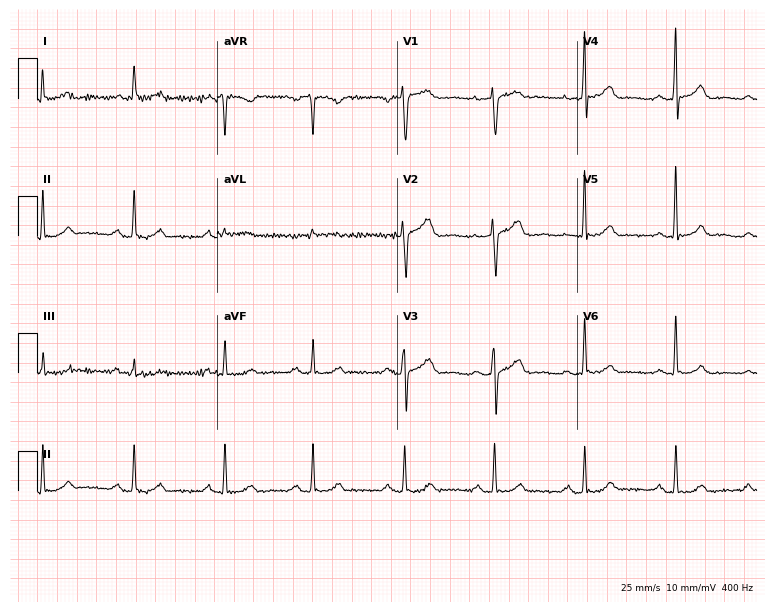
12-lead ECG from a woman, 70 years old. Screened for six findings — first-degree AV block, right bundle branch block (RBBB), left bundle branch block (LBBB), sinus bradycardia, atrial fibrillation (AF), sinus tachycardia — none is recorded.